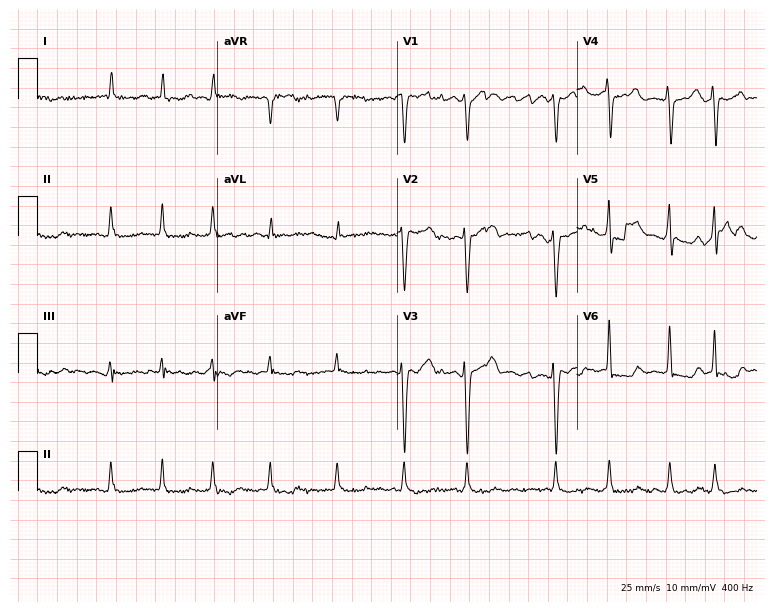
12-lead ECG from a female patient, 71 years old. Findings include atrial fibrillation.